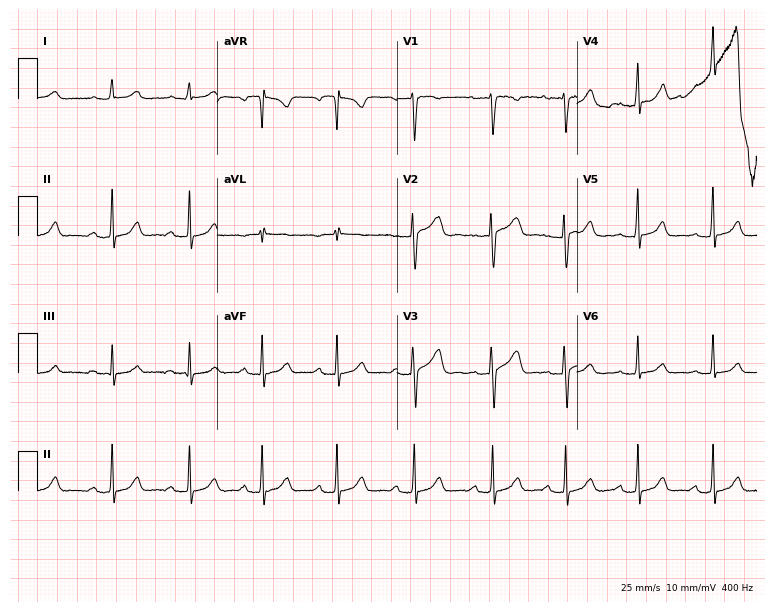
Standard 12-lead ECG recorded from a 33-year-old woman. Read as a normal ECG.